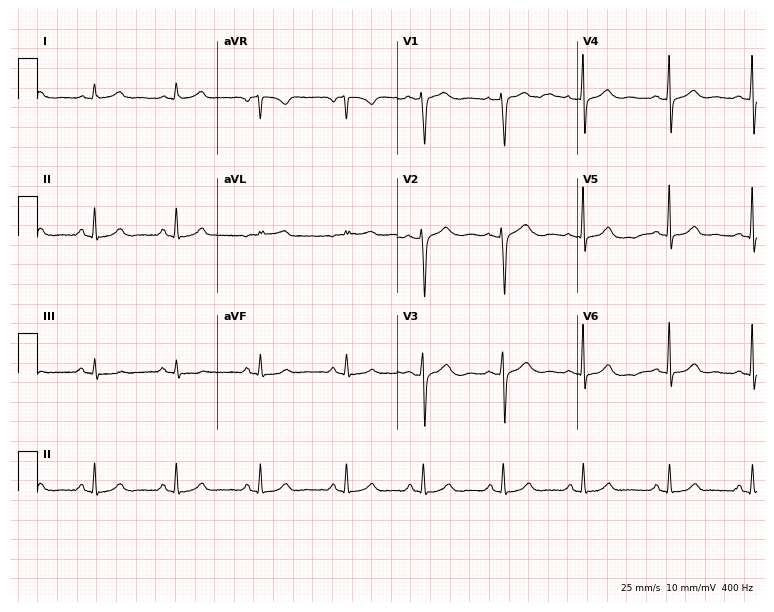
12-lead ECG from a woman, 60 years old (7.3-second recording at 400 Hz). Recorded interpretation: within normal limits.